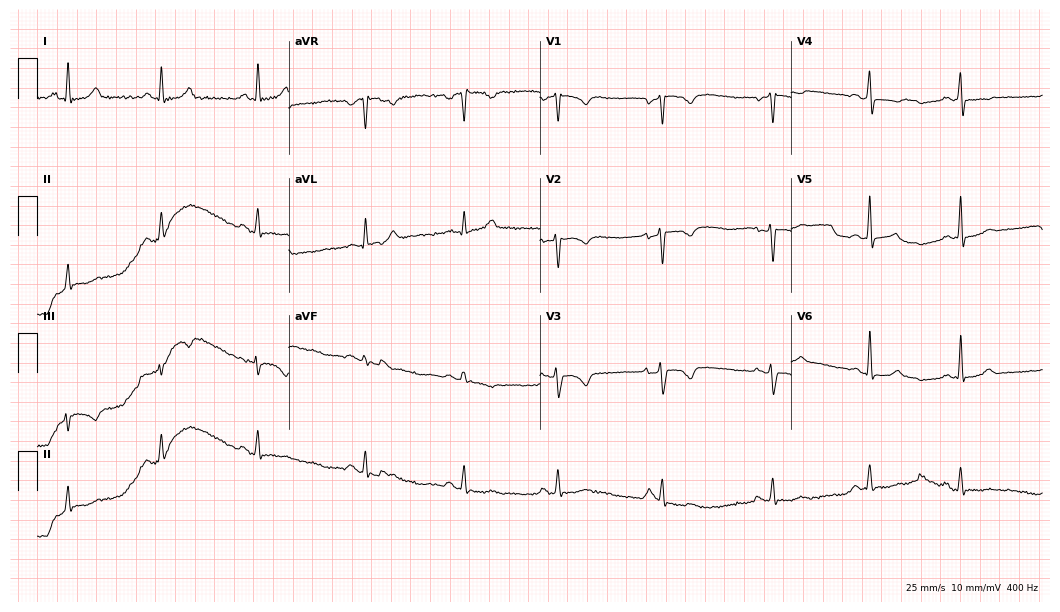
12-lead ECG from a woman, 44 years old. Screened for six findings — first-degree AV block, right bundle branch block, left bundle branch block, sinus bradycardia, atrial fibrillation, sinus tachycardia — none is recorded.